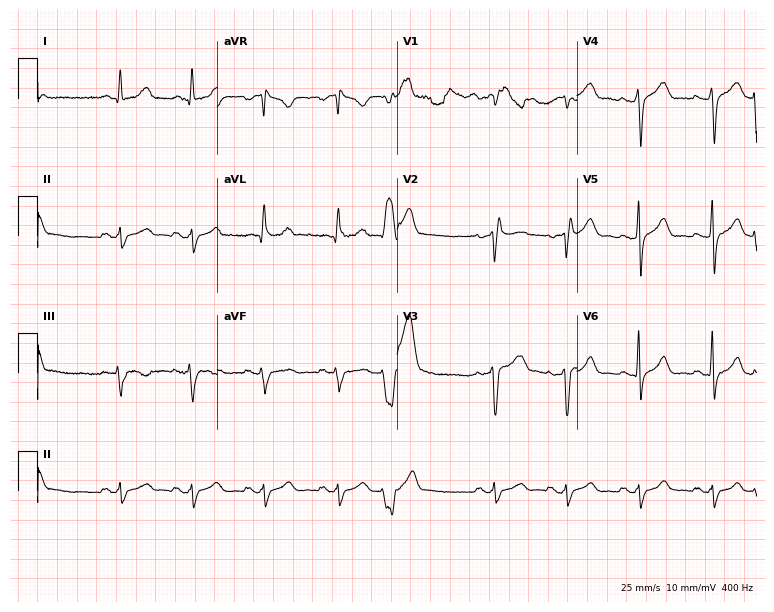
Standard 12-lead ECG recorded from a 45-year-old male patient. None of these six findings is recorded: first-degree AV block, right bundle branch block, left bundle branch block, sinus bradycardia, atrial fibrillation, sinus tachycardia. Only these six findings were labelled.